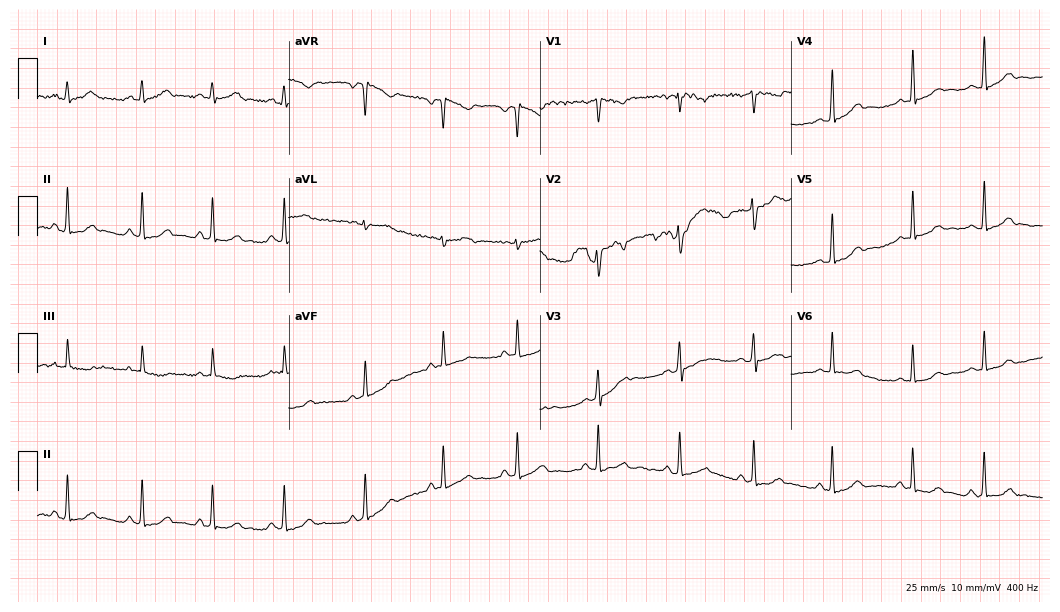
Standard 12-lead ECG recorded from a 19-year-old woman (10.2-second recording at 400 Hz). Read as a normal ECG.